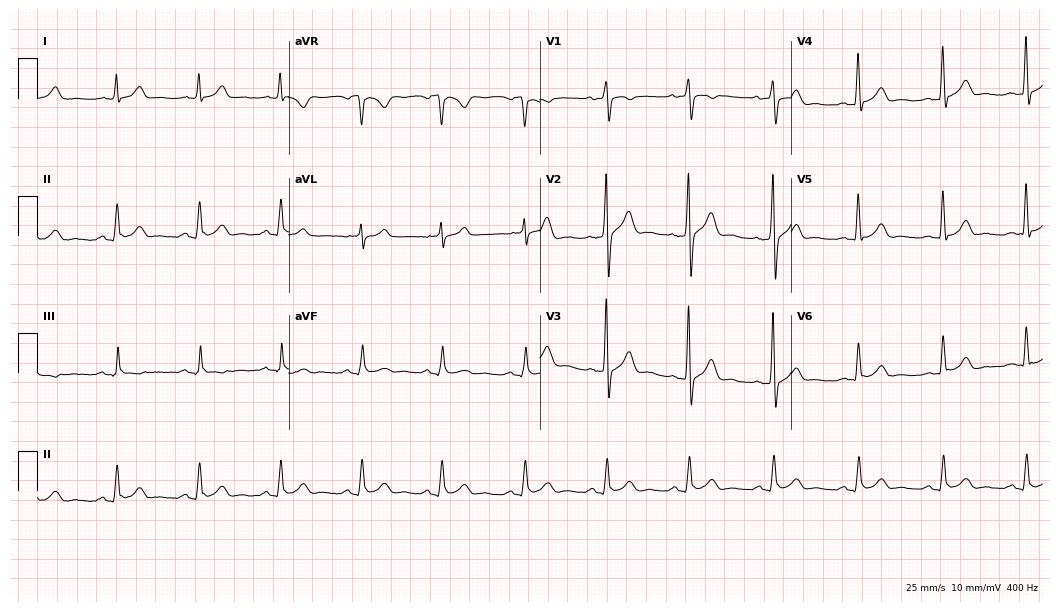
Electrocardiogram, a 41-year-old male. Overall reading on record: normal ECG.